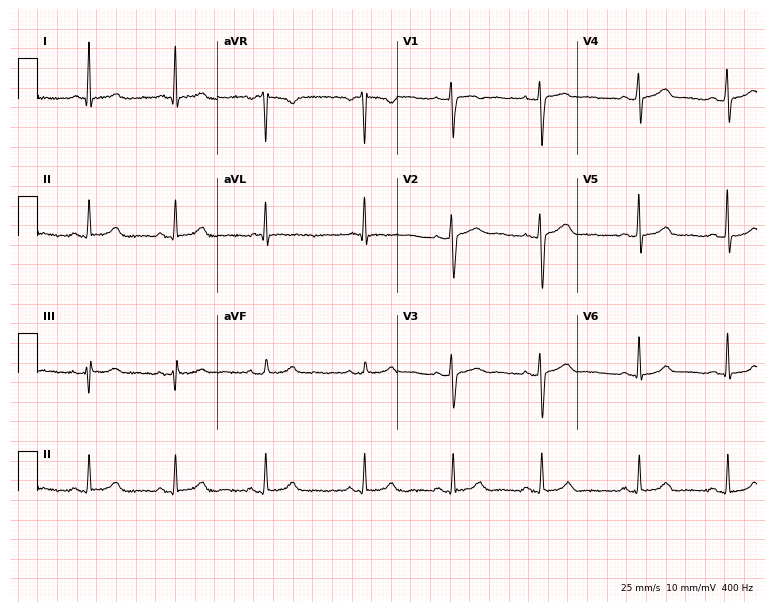
Electrocardiogram, a woman, 38 years old. Overall reading on record: normal ECG.